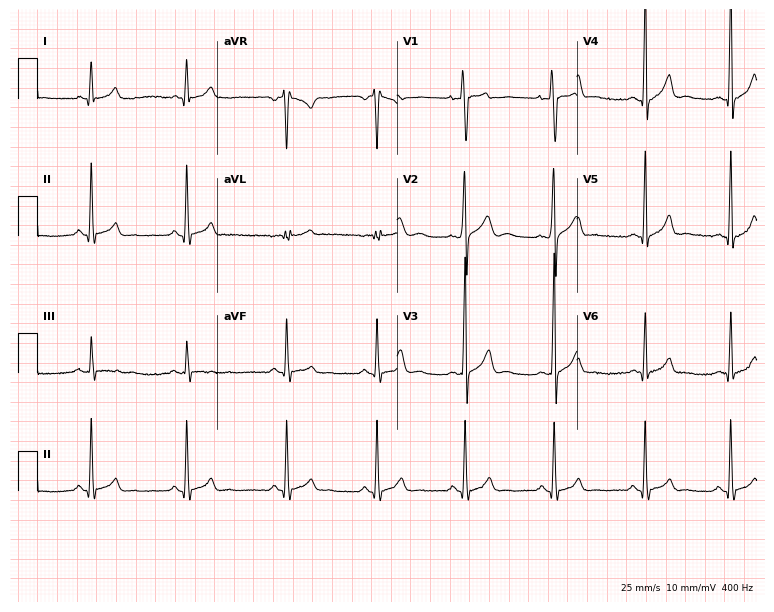
Resting 12-lead electrocardiogram. Patient: an 18-year-old man. Read as a normal ECG.